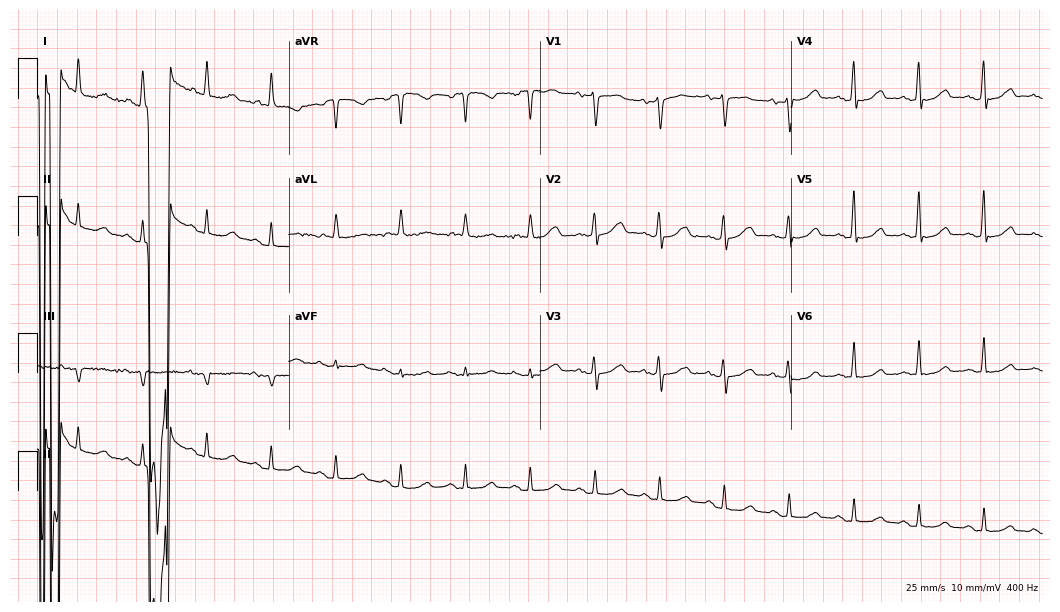
Electrocardiogram, a woman, 73 years old. Of the six screened findings (first-degree AV block, right bundle branch block, left bundle branch block, sinus bradycardia, atrial fibrillation, sinus tachycardia), none is recorded.